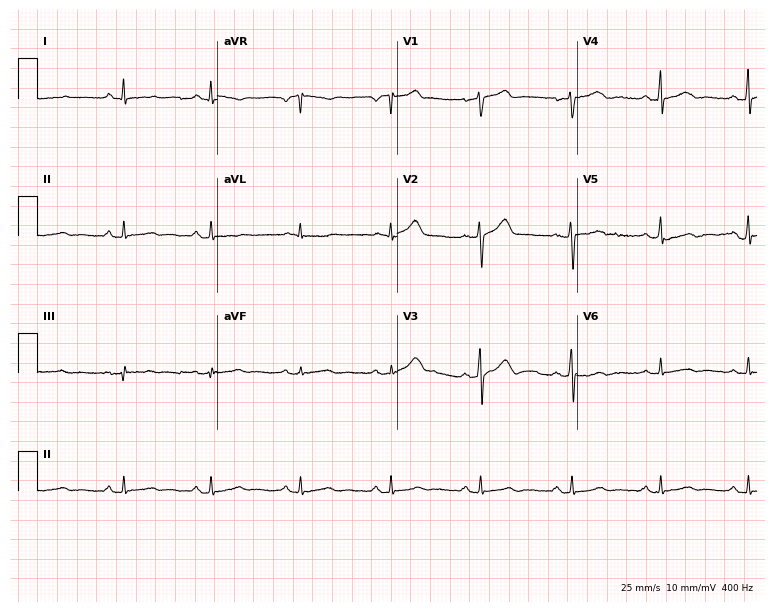
Standard 12-lead ECG recorded from a man, 51 years old. Read as a normal ECG.